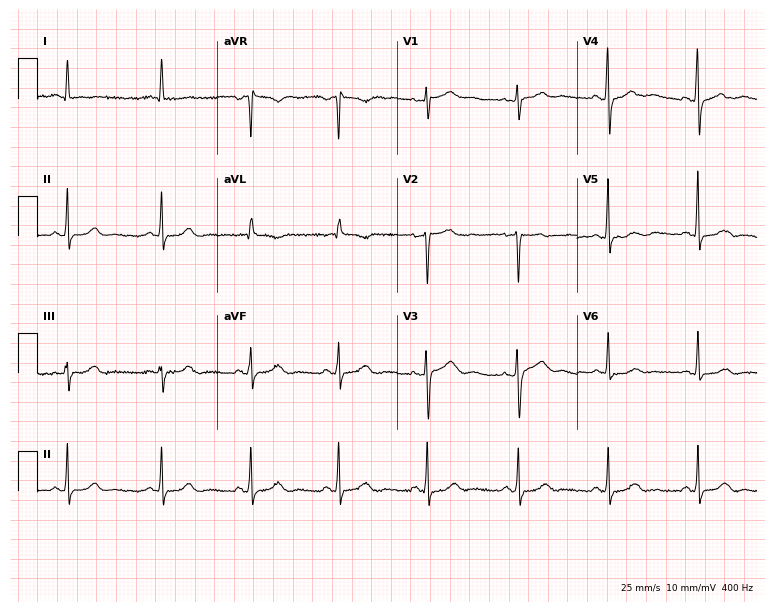
12-lead ECG from a female patient, 51 years old. Labelled as a normal ECG.